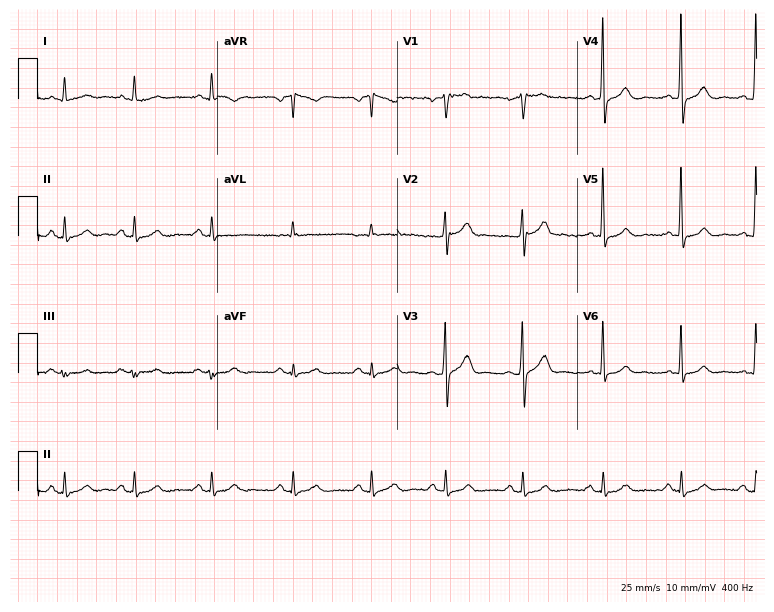
Electrocardiogram, a 59-year-old male. Of the six screened findings (first-degree AV block, right bundle branch block (RBBB), left bundle branch block (LBBB), sinus bradycardia, atrial fibrillation (AF), sinus tachycardia), none is recorded.